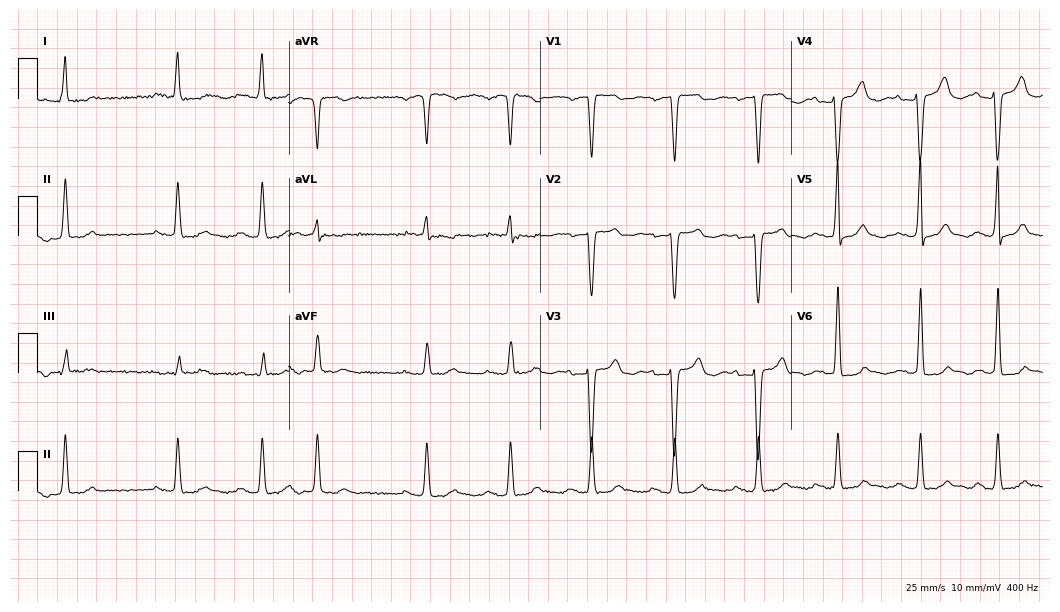
ECG (10.2-second recording at 400 Hz) — an 87-year-old woman. Screened for six findings — first-degree AV block, right bundle branch block, left bundle branch block, sinus bradycardia, atrial fibrillation, sinus tachycardia — none is recorded.